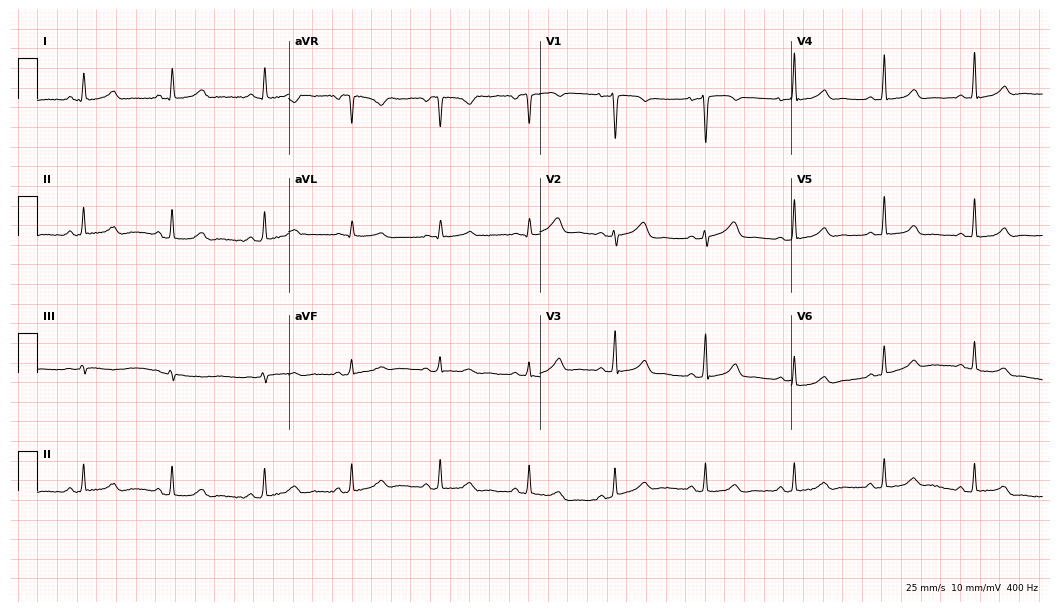
12-lead ECG from a 40-year-old female (10.2-second recording at 400 Hz). Recorded interpretation: within normal limits.